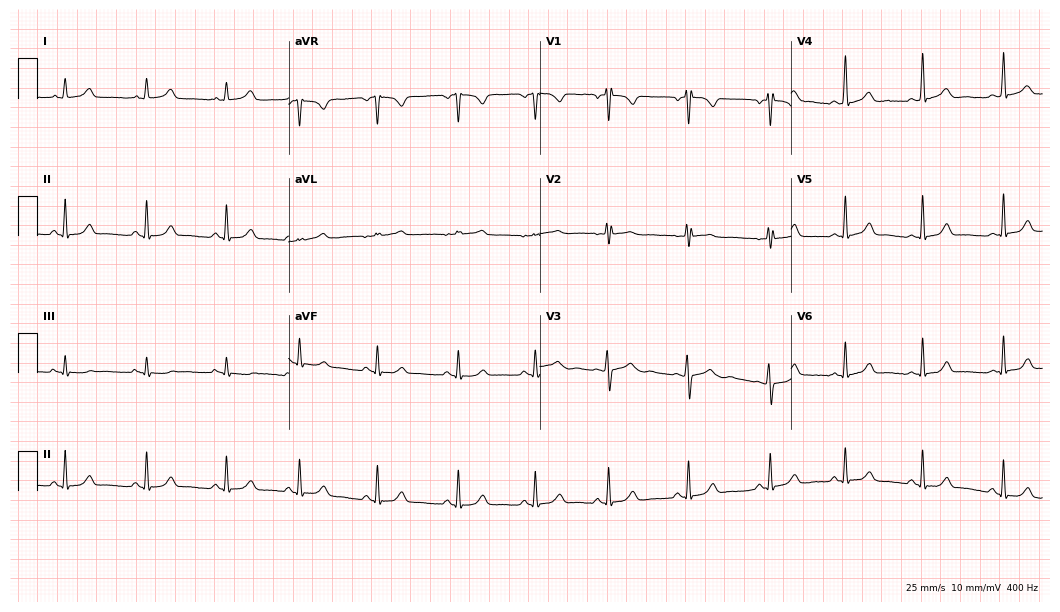
Standard 12-lead ECG recorded from a 21-year-old female (10.2-second recording at 400 Hz). None of these six findings is recorded: first-degree AV block, right bundle branch block (RBBB), left bundle branch block (LBBB), sinus bradycardia, atrial fibrillation (AF), sinus tachycardia.